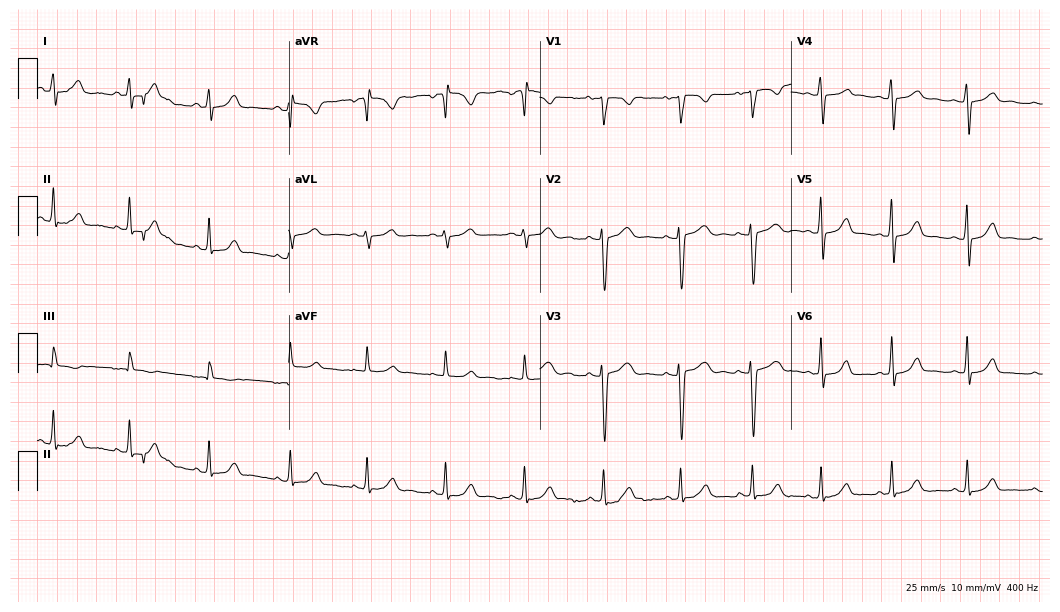
Resting 12-lead electrocardiogram. Patient: a 24-year-old woman. Read as a normal ECG.